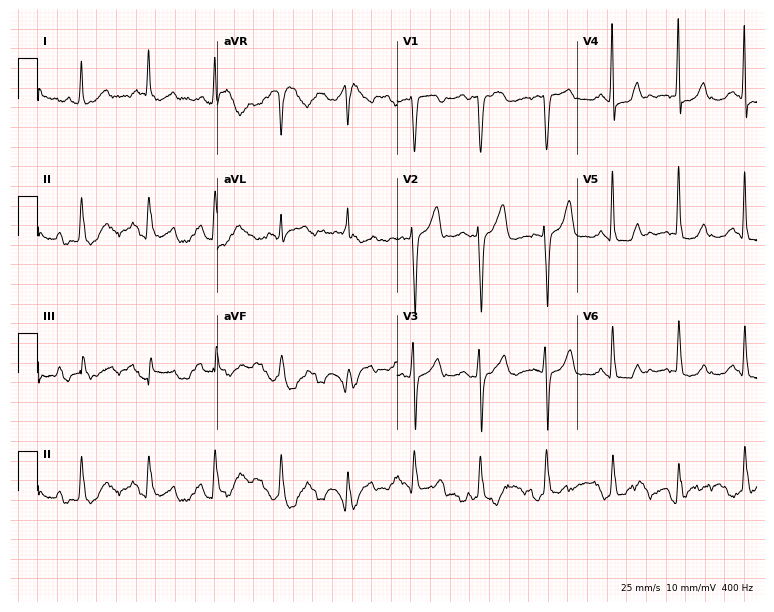
ECG — a male, 74 years old. Labelled as a normal ECG.